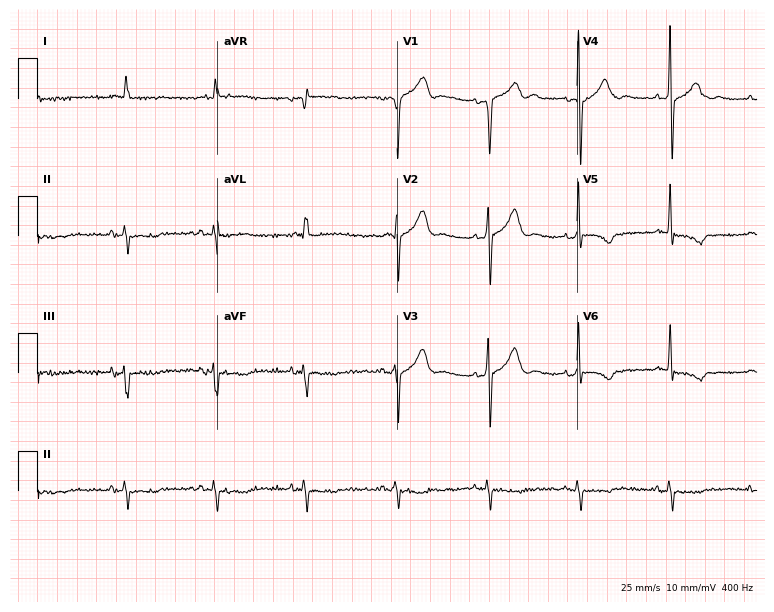
12-lead ECG (7.3-second recording at 400 Hz) from a male, 73 years old. Screened for six findings — first-degree AV block, right bundle branch block, left bundle branch block, sinus bradycardia, atrial fibrillation, sinus tachycardia — none is recorded. Only these six findings were labelled.